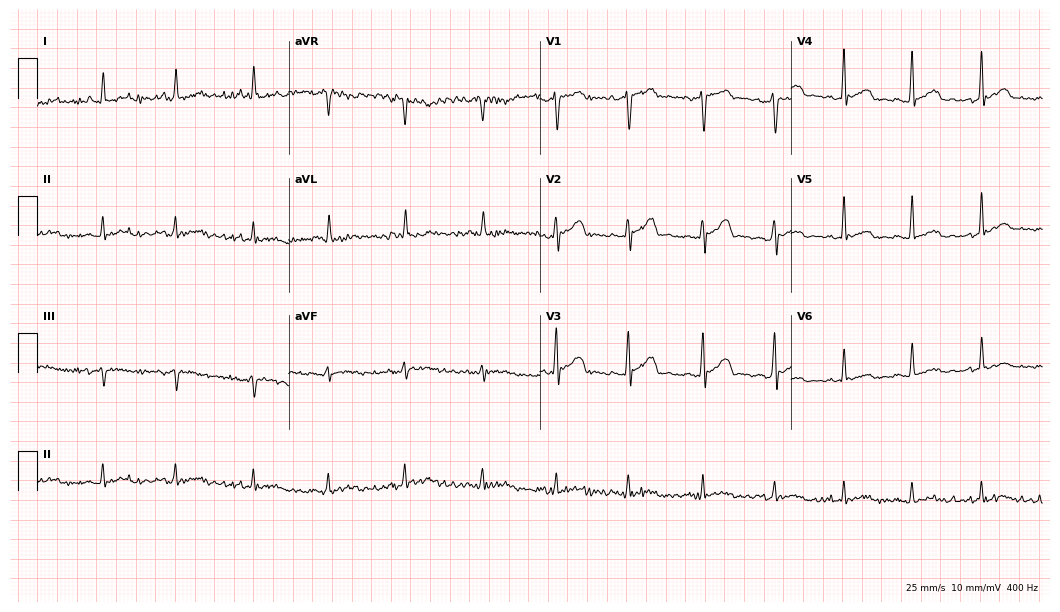
12-lead ECG from a 27-year-old man. Labelled as a normal ECG.